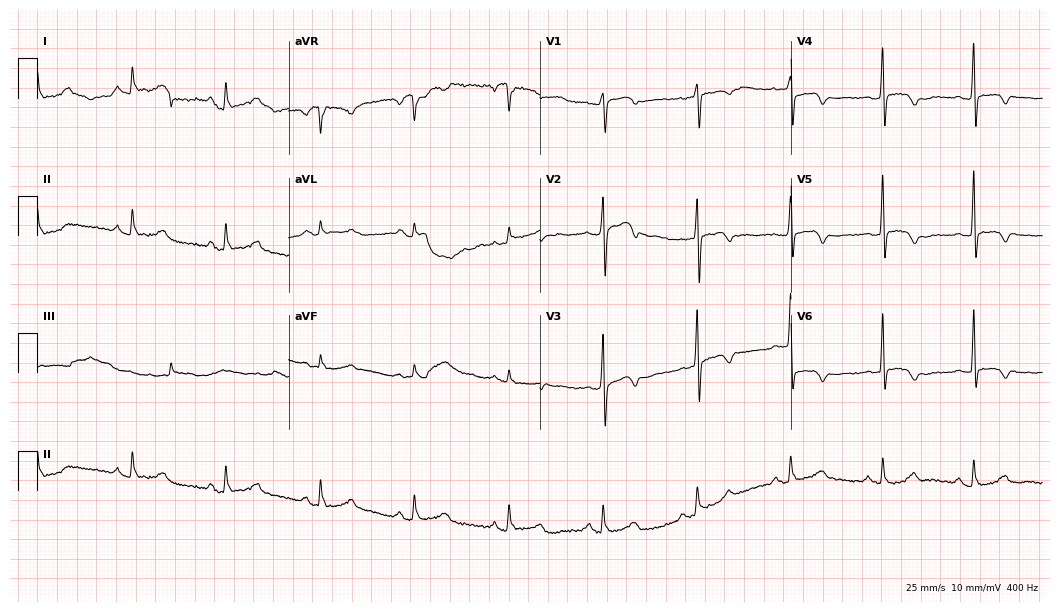
12-lead ECG from a 64-year-old female. No first-degree AV block, right bundle branch block, left bundle branch block, sinus bradycardia, atrial fibrillation or sinus tachycardia recorded for this tracing.